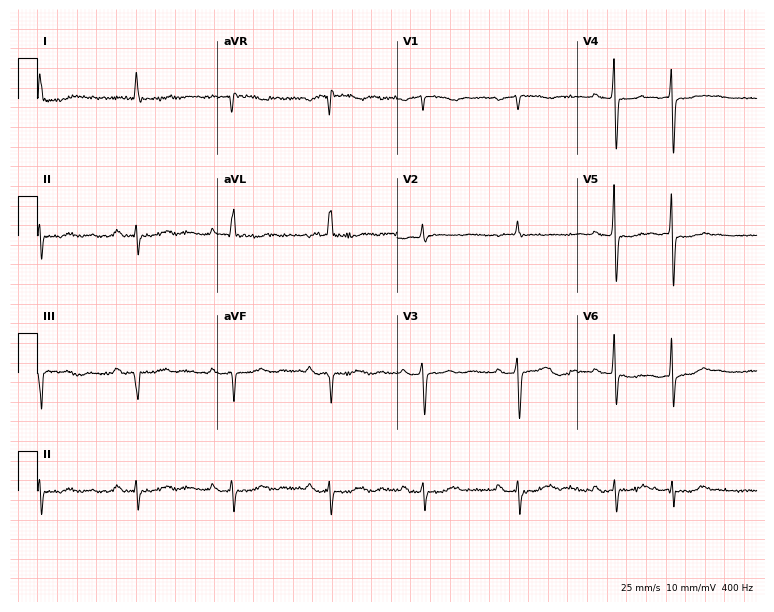
12-lead ECG from a female patient, 78 years old. No first-degree AV block, right bundle branch block (RBBB), left bundle branch block (LBBB), sinus bradycardia, atrial fibrillation (AF) or sinus tachycardia recorded for this tracing.